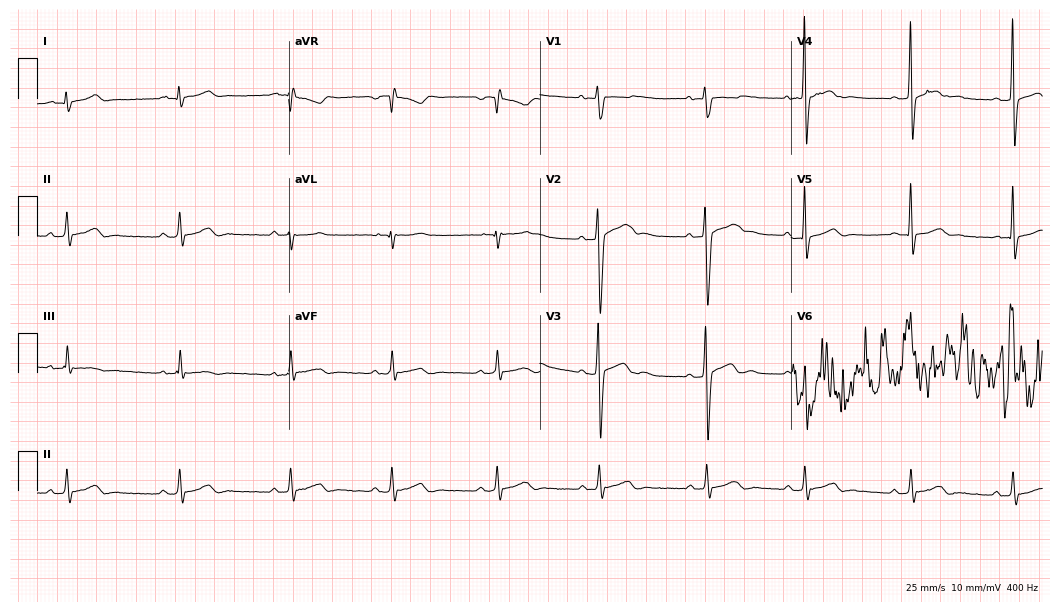
12-lead ECG from a 17-year-old man (10.2-second recording at 400 Hz). Recorded interpretation: within normal limits.